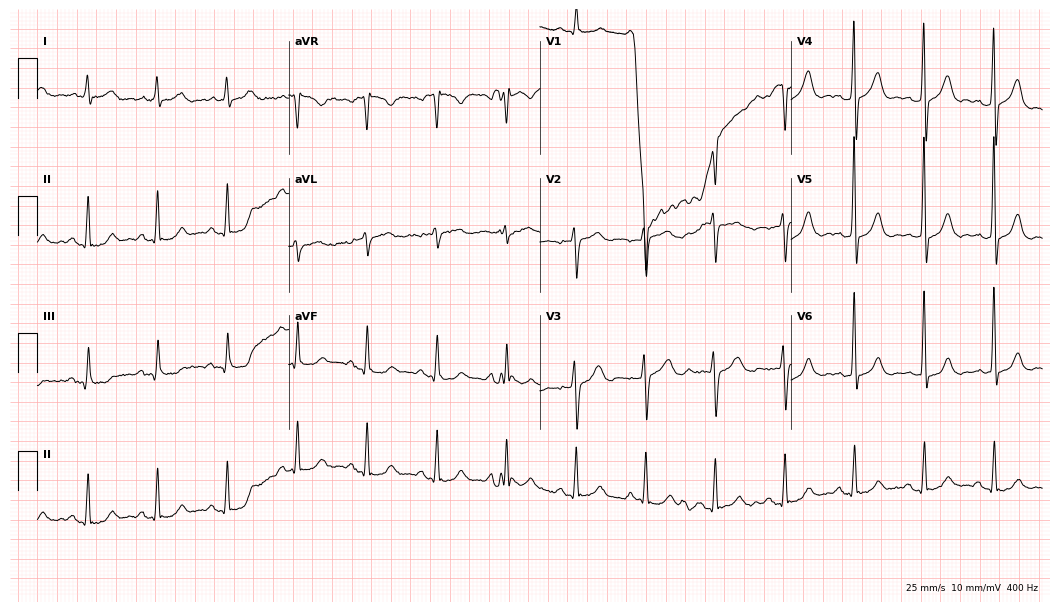
Resting 12-lead electrocardiogram (10.2-second recording at 400 Hz). Patient: a 69-year-old man. None of these six findings is recorded: first-degree AV block, right bundle branch block (RBBB), left bundle branch block (LBBB), sinus bradycardia, atrial fibrillation (AF), sinus tachycardia.